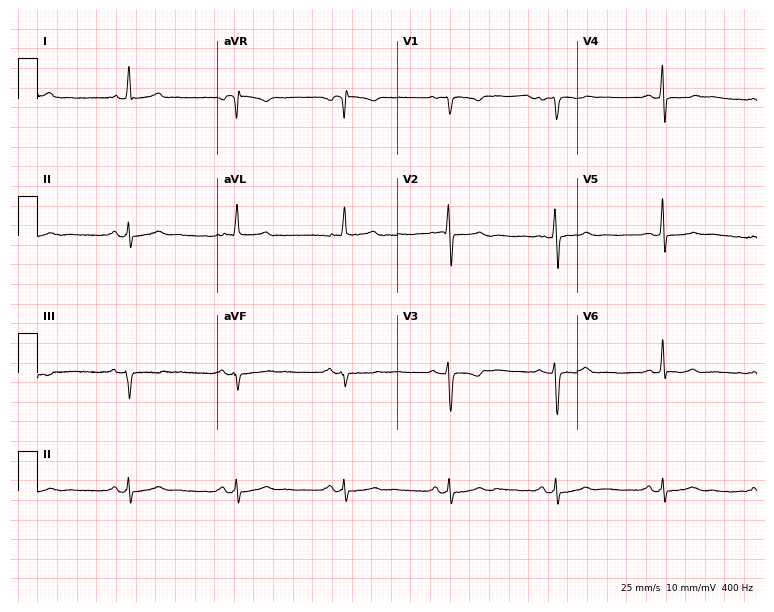
12-lead ECG from a 70-year-old female patient. Recorded interpretation: within normal limits.